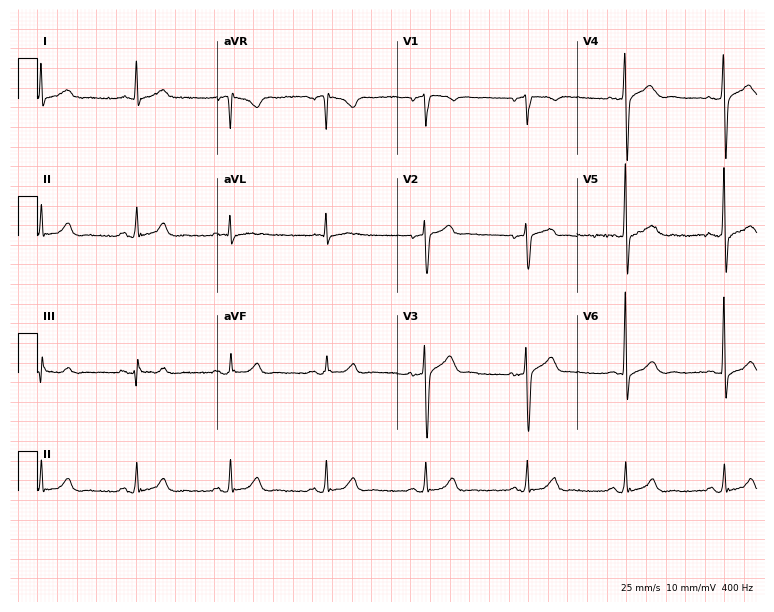
12-lead ECG from a male patient, 62 years old. No first-degree AV block, right bundle branch block, left bundle branch block, sinus bradycardia, atrial fibrillation or sinus tachycardia recorded for this tracing. Only these six findings were labelled.